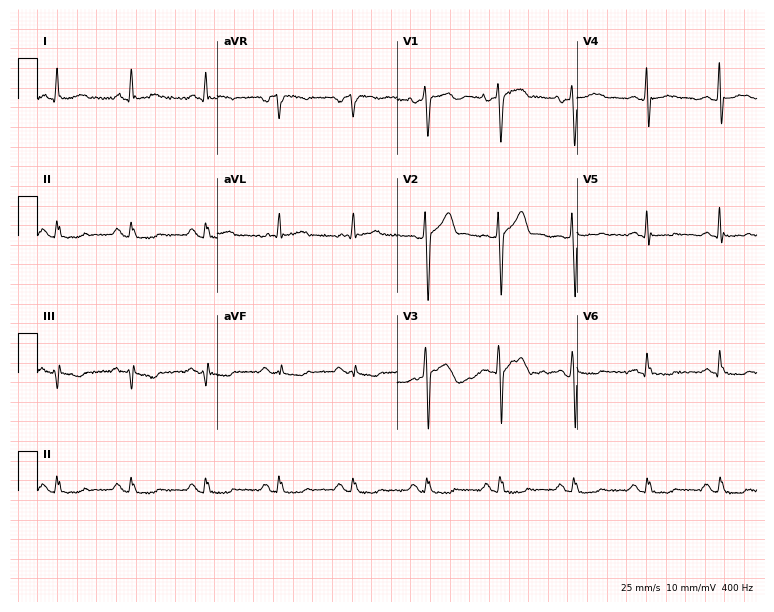
12-lead ECG (7.3-second recording at 400 Hz) from a male patient, 73 years old. Screened for six findings — first-degree AV block, right bundle branch block, left bundle branch block, sinus bradycardia, atrial fibrillation, sinus tachycardia — none is recorded. Only these six findings were labelled.